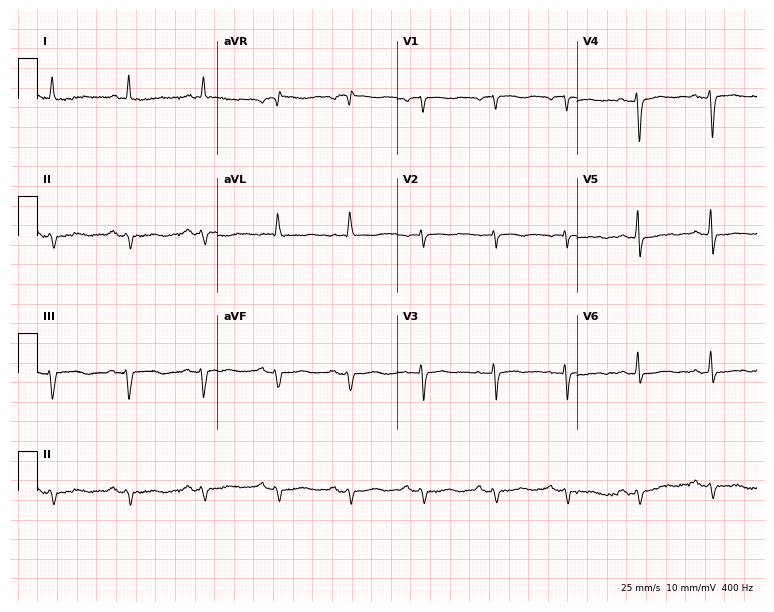
Resting 12-lead electrocardiogram. Patient: an 82-year-old woman. None of these six findings is recorded: first-degree AV block, right bundle branch block, left bundle branch block, sinus bradycardia, atrial fibrillation, sinus tachycardia. Other findings, if any, are not listed.